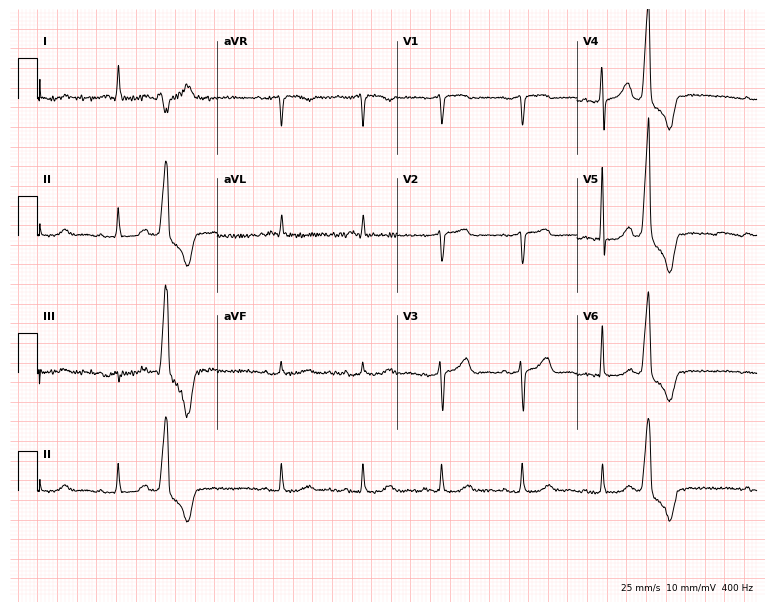
12-lead ECG from a male, 67 years old. No first-degree AV block, right bundle branch block, left bundle branch block, sinus bradycardia, atrial fibrillation or sinus tachycardia recorded for this tracing. Only these six findings were labelled.